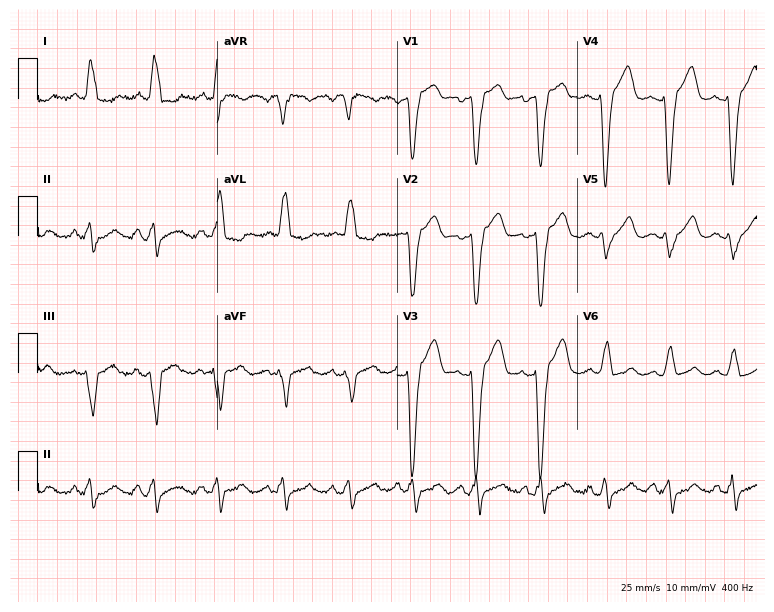
Resting 12-lead electrocardiogram. Patient: a female, 40 years old. The tracing shows left bundle branch block.